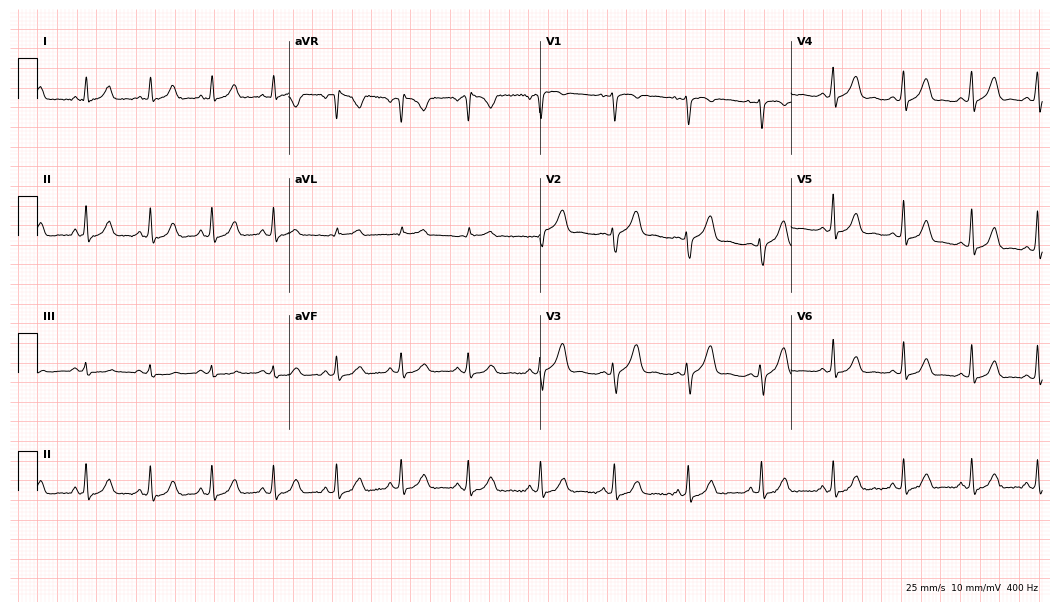
12-lead ECG from a 25-year-old woman (10.2-second recording at 400 Hz). Recorded interpretation: within normal limits.